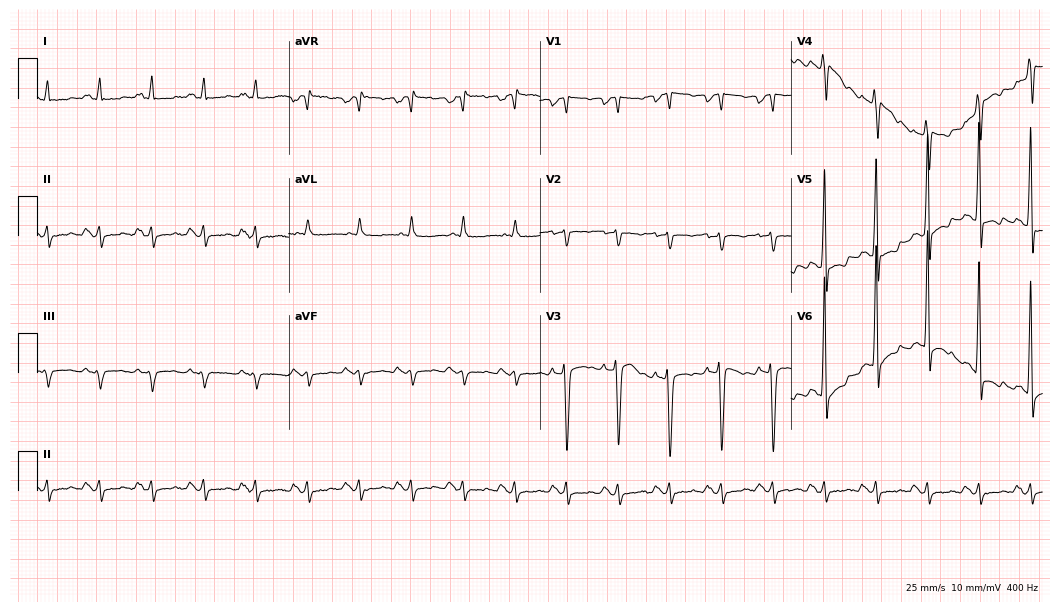
12-lead ECG from a female, 55 years old. Shows sinus tachycardia (a sinus rate of 100 beats per minute or more).